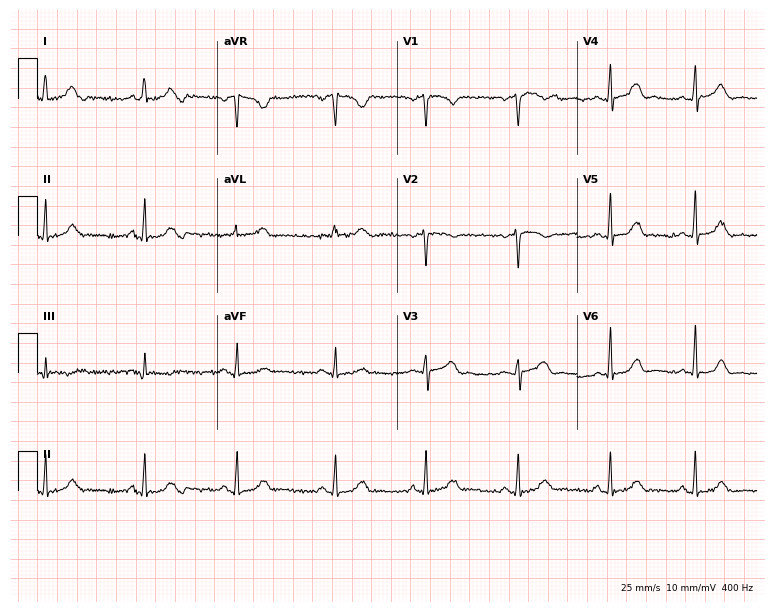
12-lead ECG from a female, 30 years old. Recorded interpretation: within normal limits.